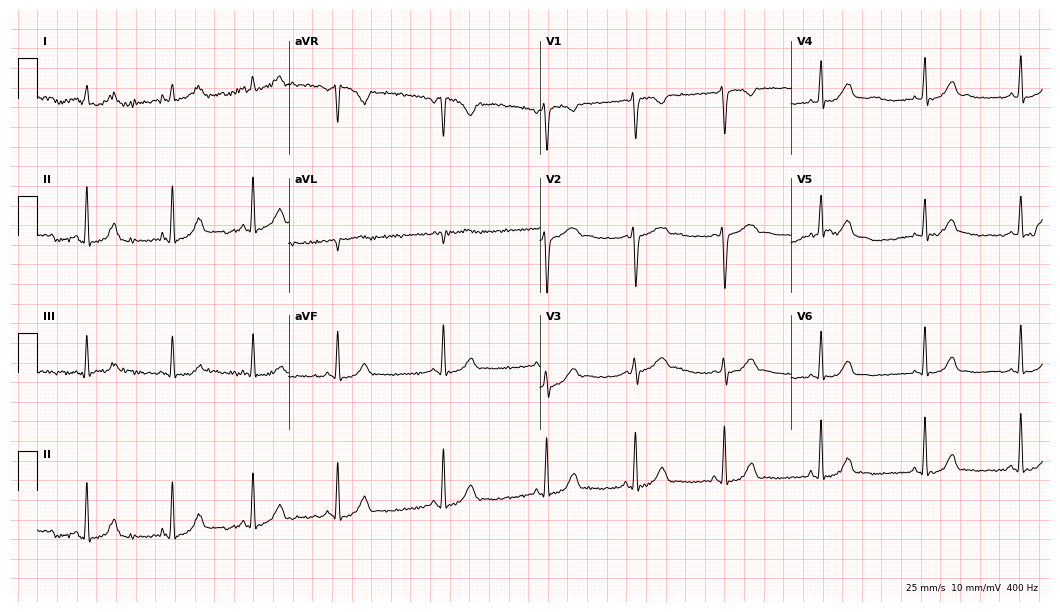
12-lead ECG from a female patient, 23 years old. Screened for six findings — first-degree AV block, right bundle branch block, left bundle branch block, sinus bradycardia, atrial fibrillation, sinus tachycardia — none is recorded.